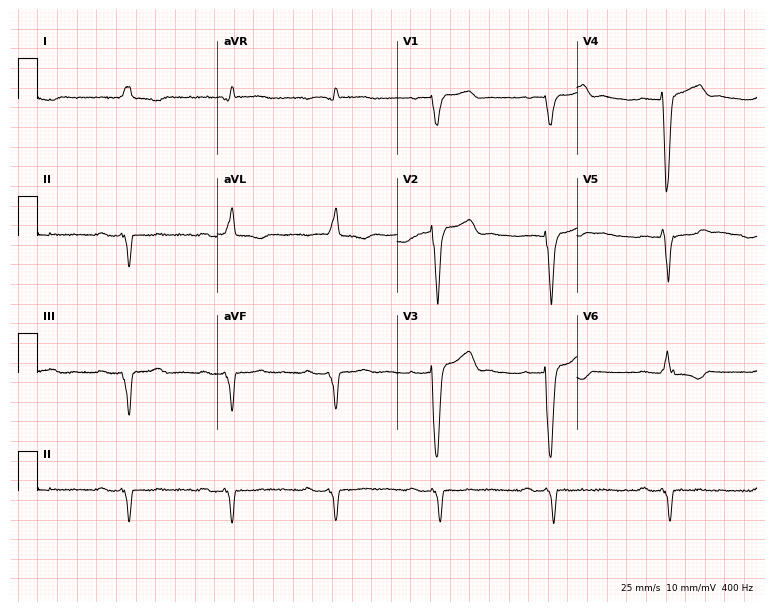
Resting 12-lead electrocardiogram (7.3-second recording at 400 Hz). Patient: a female, 83 years old. The tracing shows first-degree AV block, left bundle branch block.